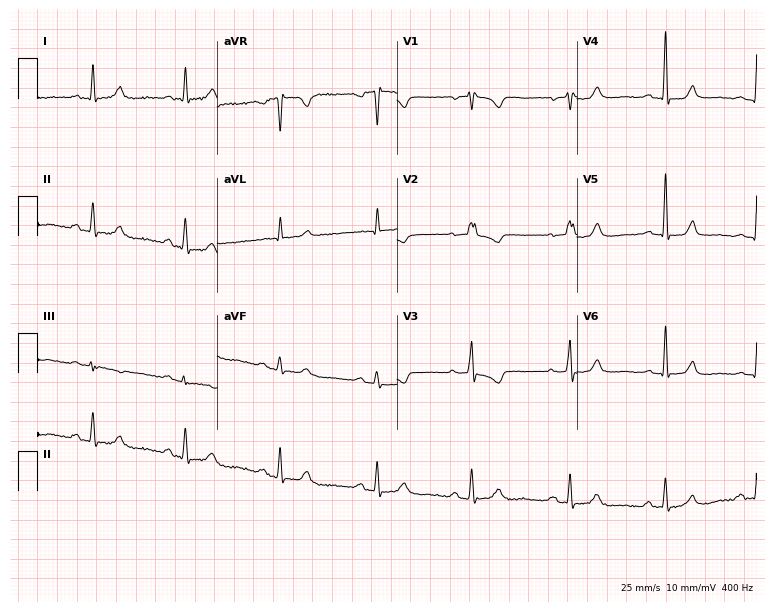
ECG (7.3-second recording at 400 Hz) — a female patient, 69 years old. Screened for six findings — first-degree AV block, right bundle branch block, left bundle branch block, sinus bradycardia, atrial fibrillation, sinus tachycardia — none is recorded. Findings outside these six are not listed.